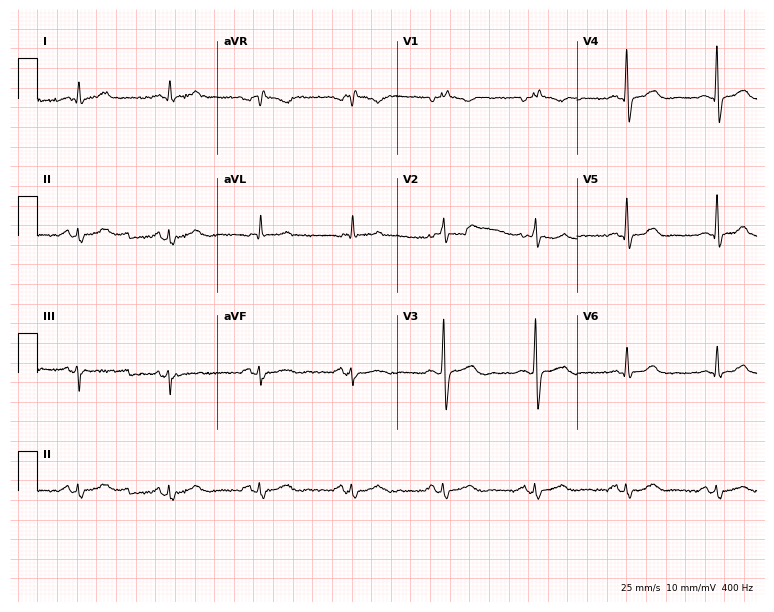
12-lead ECG from a male, 50 years old (7.3-second recording at 400 Hz). No first-degree AV block, right bundle branch block, left bundle branch block, sinus bradycardia, atrial fibrillation or sinus tachycardia recorded for this tracing. Other findings, if any, are not listed.